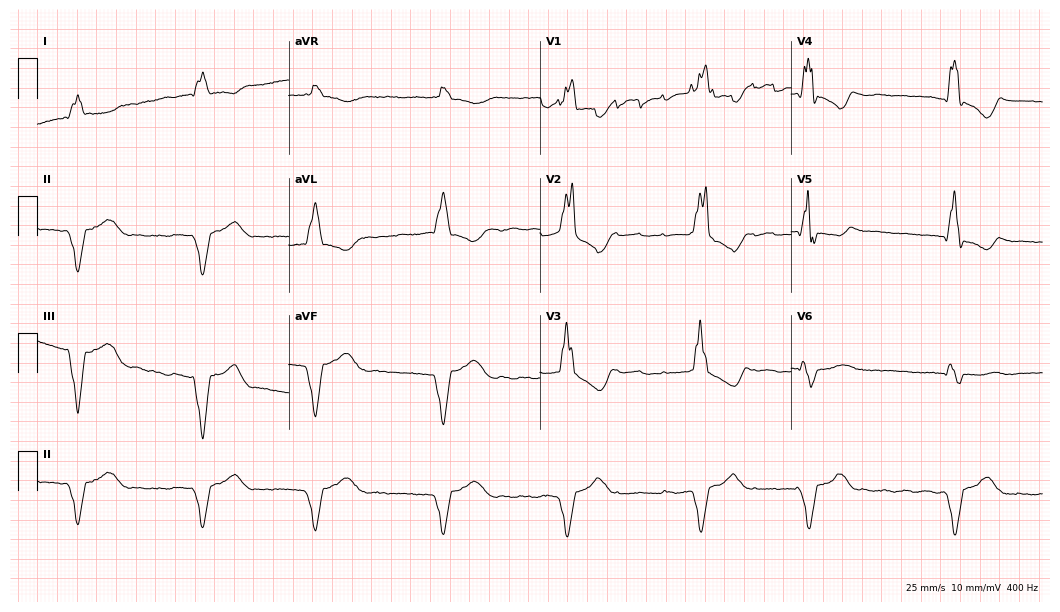
12-lead ECG from a 75-year-old man (10.2-second recording at 400 Hz). No first-degree AV block, right bundle branch block, left bundle branch block, sinus bradycardia, atrial fibrillation or sinus tachycardia recorded for this tracing.